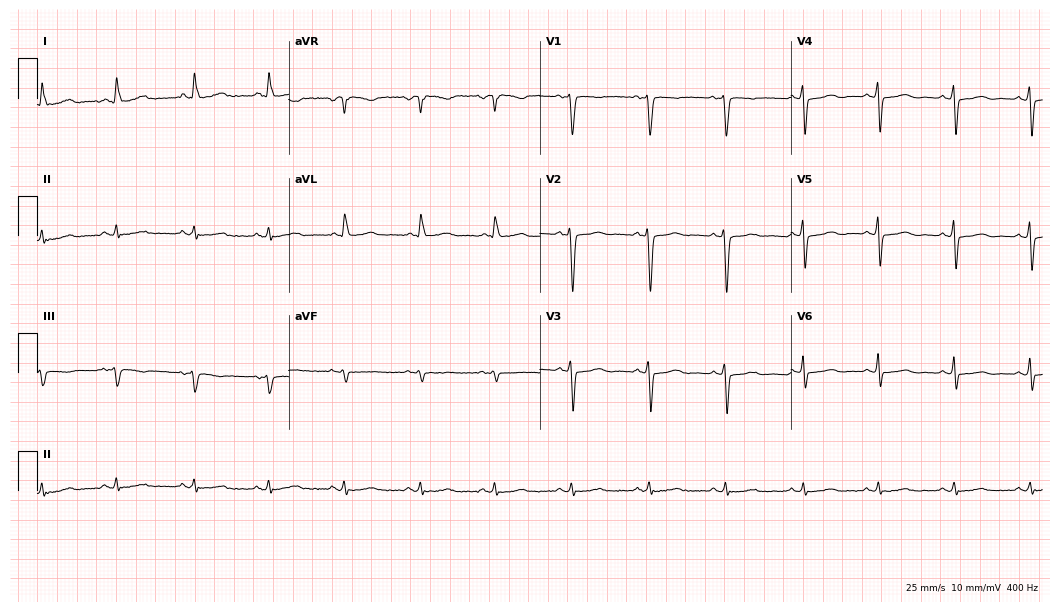
12-lead ECG from a 59-year-old woman. No first-degree AV block, right bundle branch block (RBBB), left bundle branch block (LBBB), sinus bradycardia, atrial fibrillation (AF) or sinus tachycardia recorded for this tracing. Only these six findings were labelled.